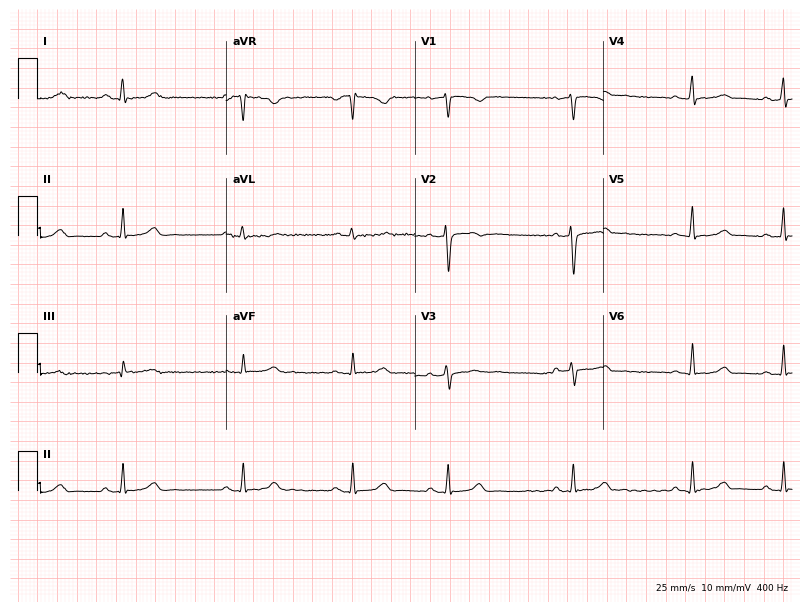
Electrocardiogram, a 25-year-old female patient. Overall reading on record: normal ECG.